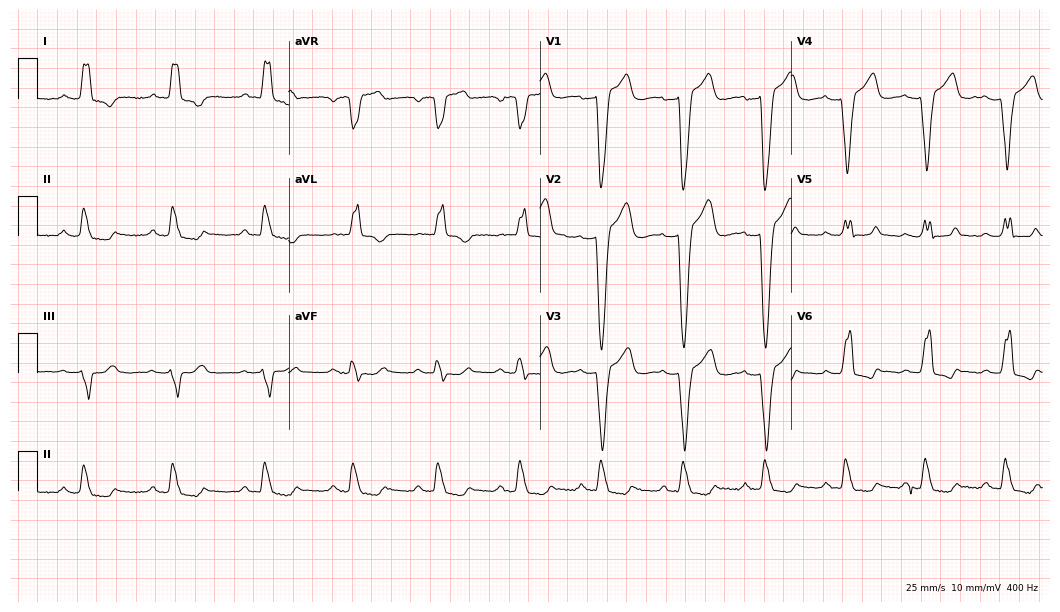
12-lead ECG from a male, 59 years old. Findings include left bundle branch block (LBBB).